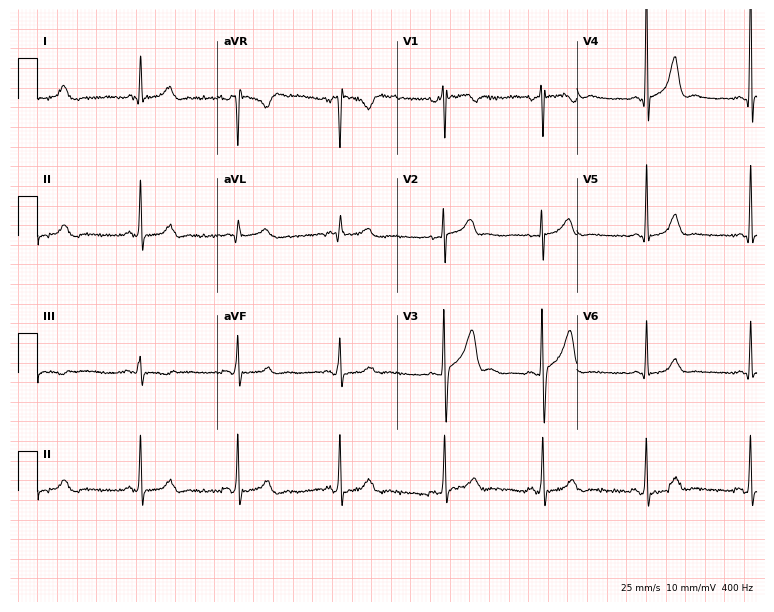
Standard 12-lead ECG recorded from a 39-year-old male patient. None of these six findings is recorded: first-degree AV block, right bundle branch block, left bundle branch block, sinus bradycardia, atrial fibrillation, sinus tachycardia. Findings outside these six are not listed.